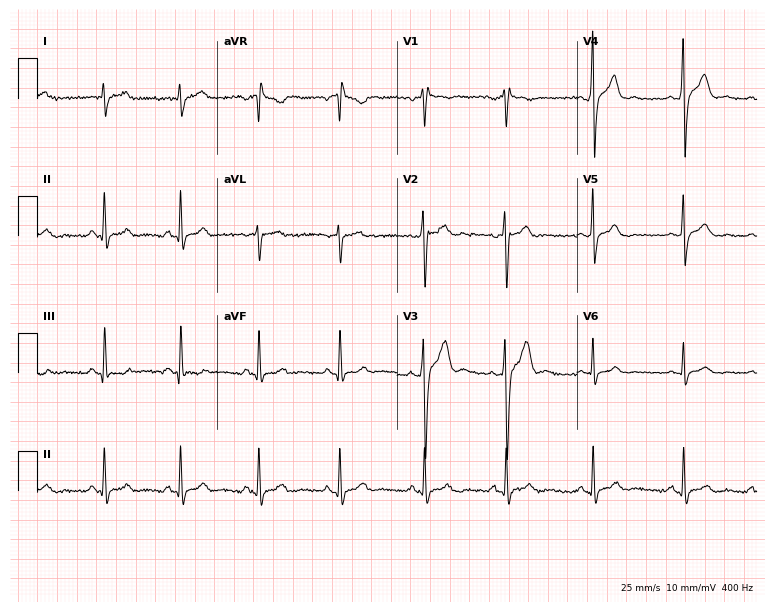
Resting 12-lead electrocardiogram (7.3-second recording at 400 Hz). Patient: a male, 27 years old. None of these six findings is recorded: first-degree AV block, right bundle branch block, left bundle branch block, sinus bradycardia, atrial fibrillation, sinus tachycardia. Other findings, if any, are not listed.